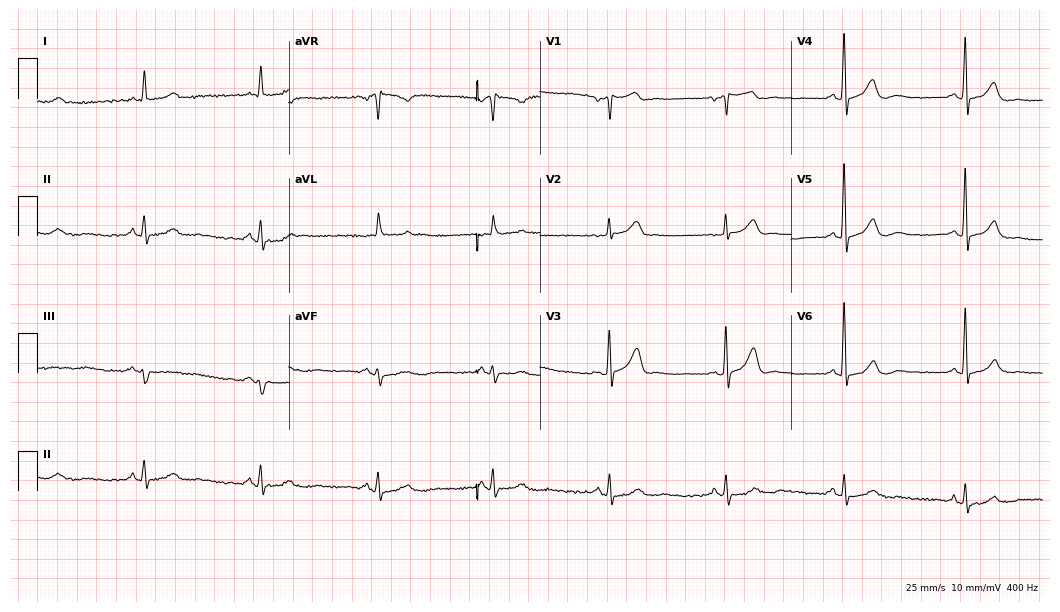
ECG — a male patient, 69 years old. Labelled as a normal ECG.